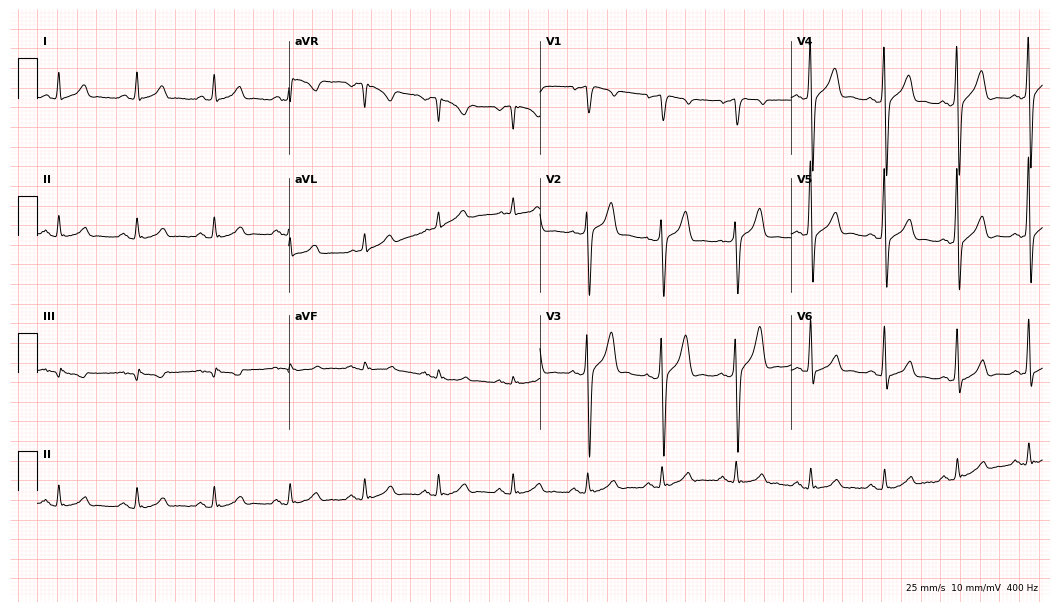
Standard 12-lead ECG recorded from a female patient, 39 years old (10.2-second recording at 400 Hz). Read as a normal ECG.